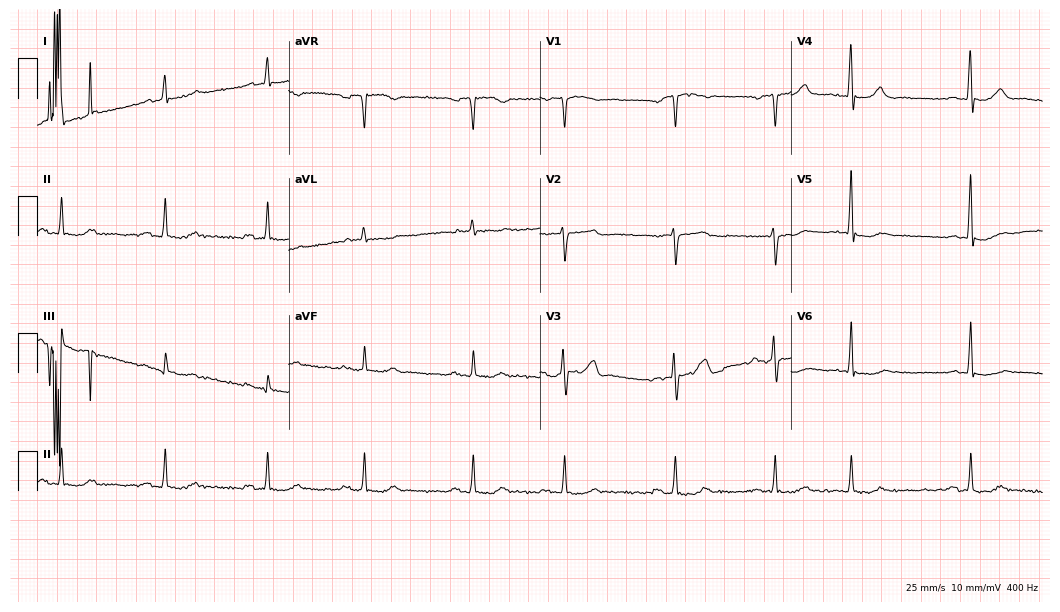
Electrocardiogram, a man, 81 years old. Of the six screened findings (first-degree AV block, right bundle branch block, left bundle branch block, sinus bradycardia, atrial fibrillation, sinus tachycardia), none is recorded.